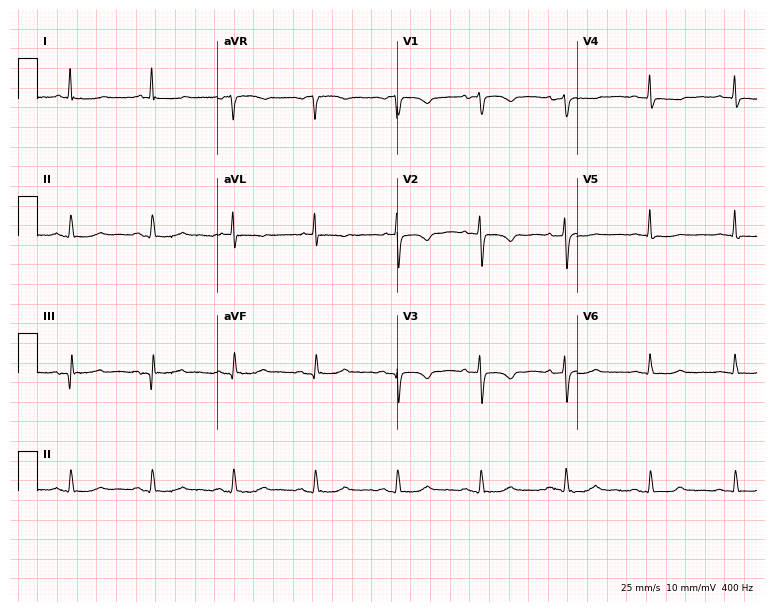
Standard 12-lead ECG recorded from a female patient, 68 years old (7.3-second recording at 400 Hz). None of these six findings is recorded: first-degree AV block, right bundle branch block, left bundle branch block, sinus bradycardia, atrial fibrillation, sinus tachycardia.